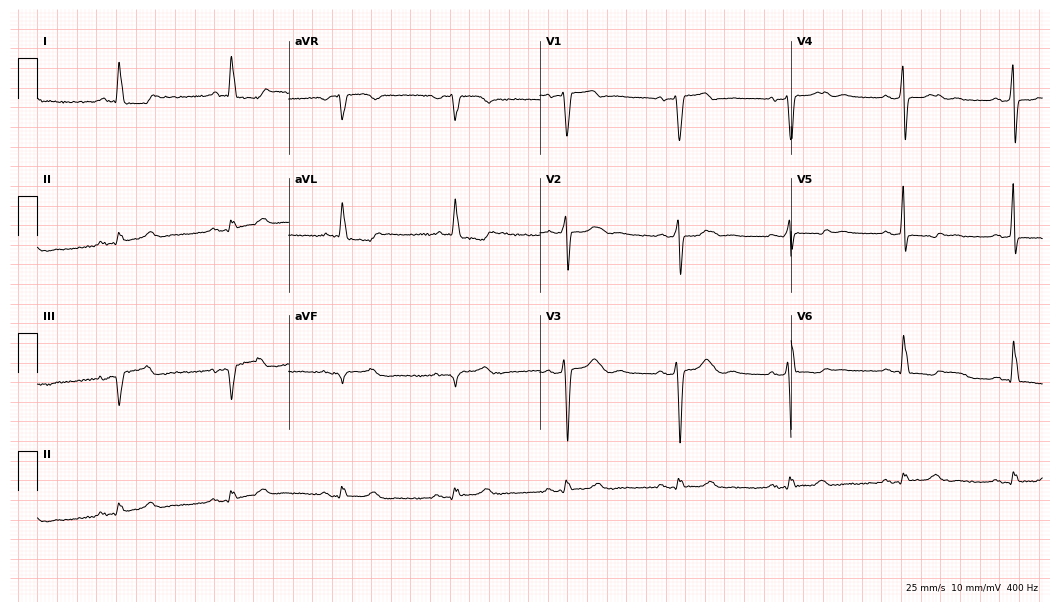
Resting 12-lead electrocardiogram (10.2-second recording at 400 Hz). Patient: a woman, 56 years old. The tracing shows sinus bradycardia (a sinus rate of 50 beats per minute or less).